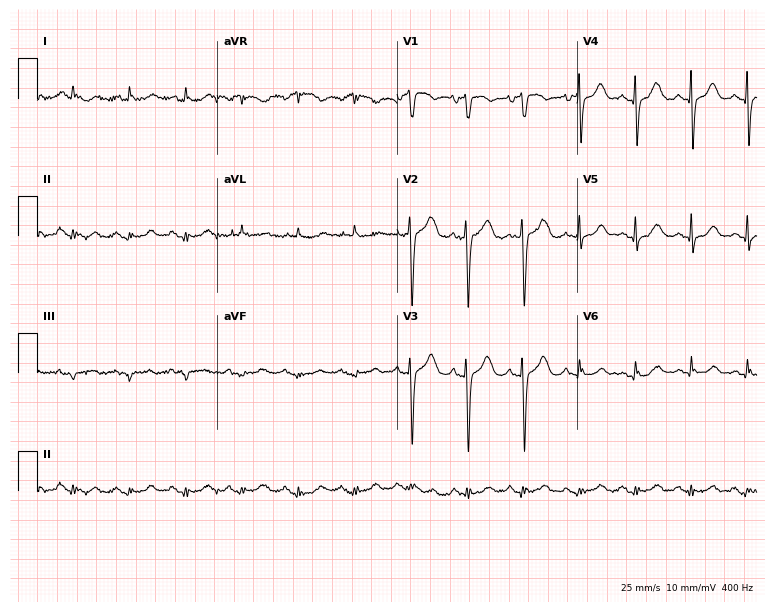
12-lead ECG (7.3-second recording at 400 Hz) from a female, 77 years old. Screened for six findings — first-degree AV block, right bundle branch block (RBBB), left bundle branch block (LBBB), sinus bradycardia, atrial fibrillation (AF), sinus tachycardia — none is recorded.